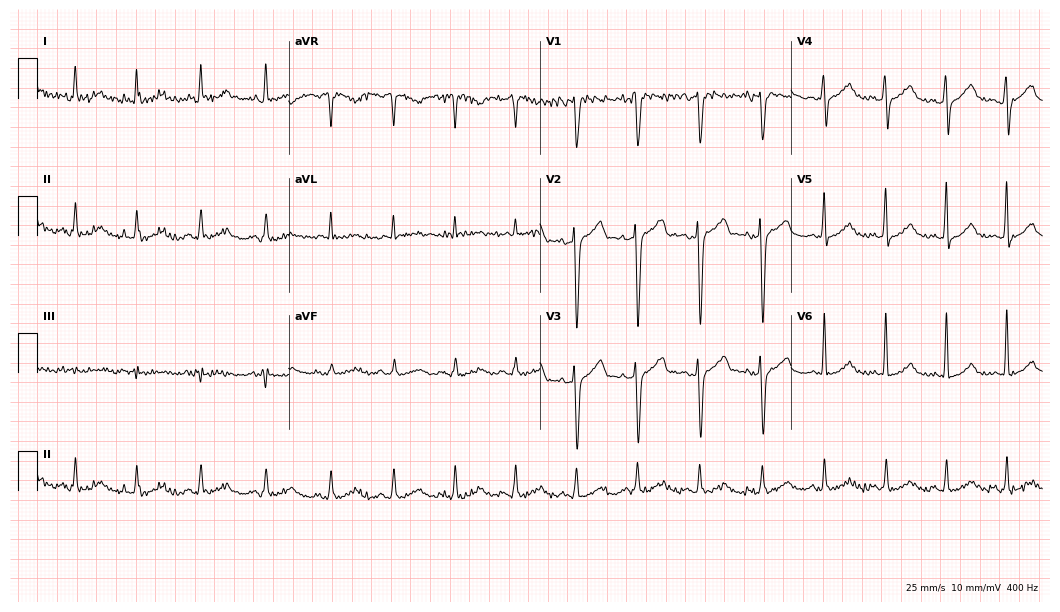
12-lead ECG from a 41-year-old male. Labelled as a normal ECG.